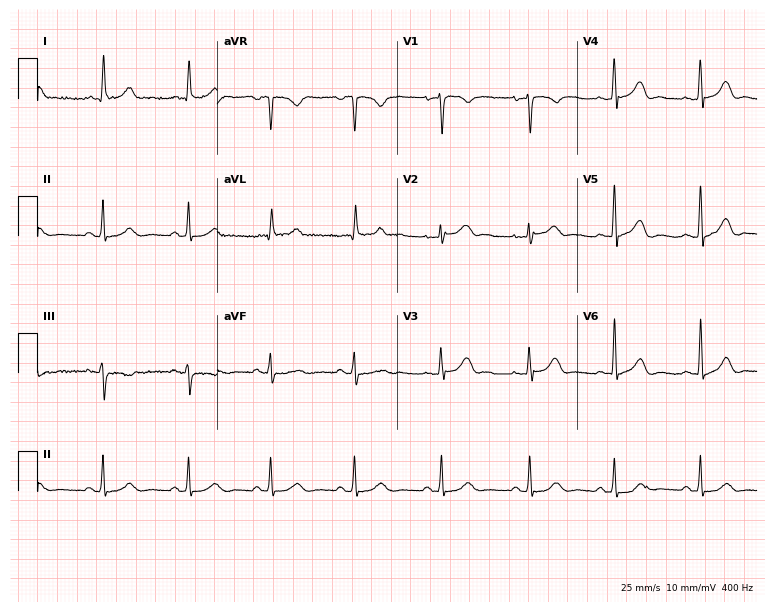
Resting 12-lead electrocardiogram. Patient: a 45-year-old woman. Read as a normal ECG.